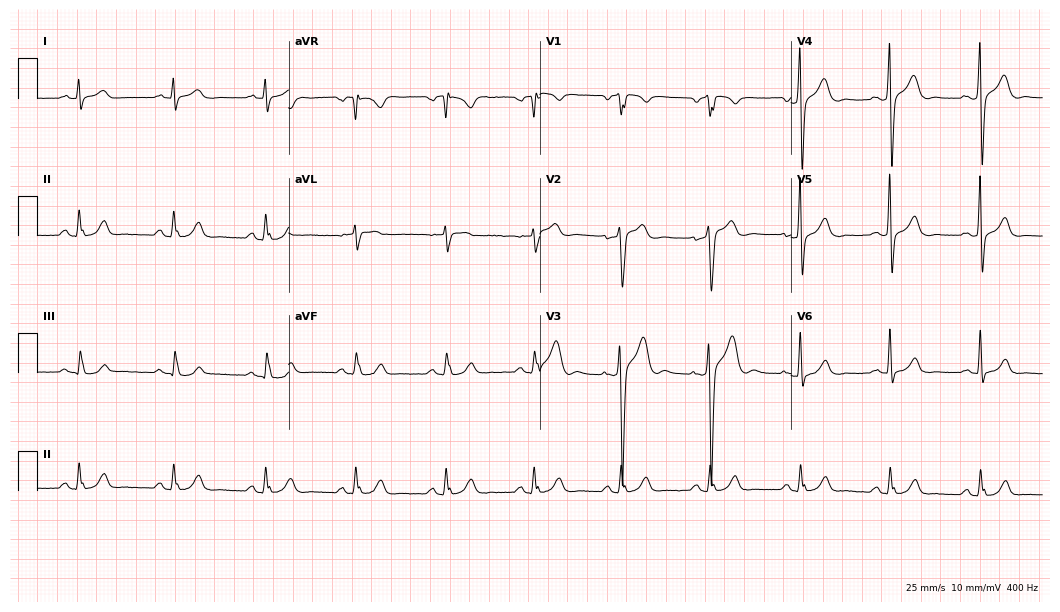
12-lead ECG from a male patient, 33 years old (10.2-second recording at 400 Hz). Recorded interpretation: within normal limits.